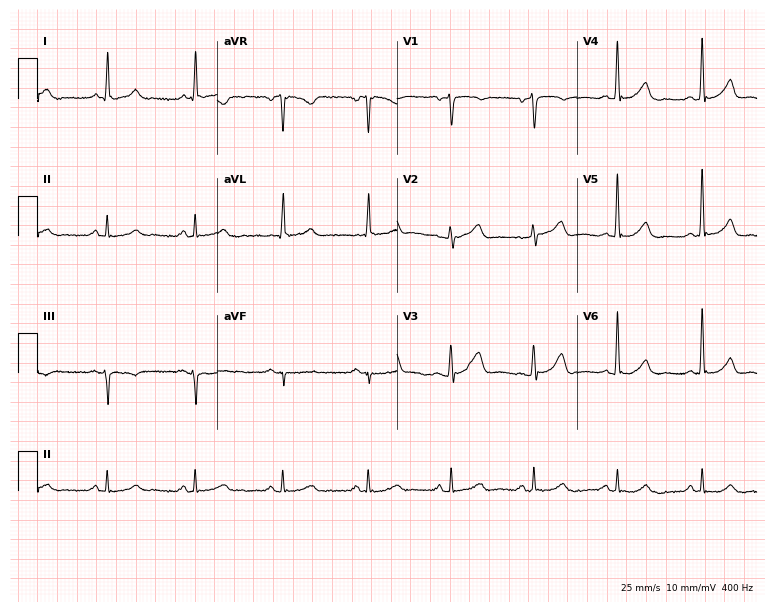
12-lead ECG from a 57-year-old man. Recorded interpretation: within normal limits.